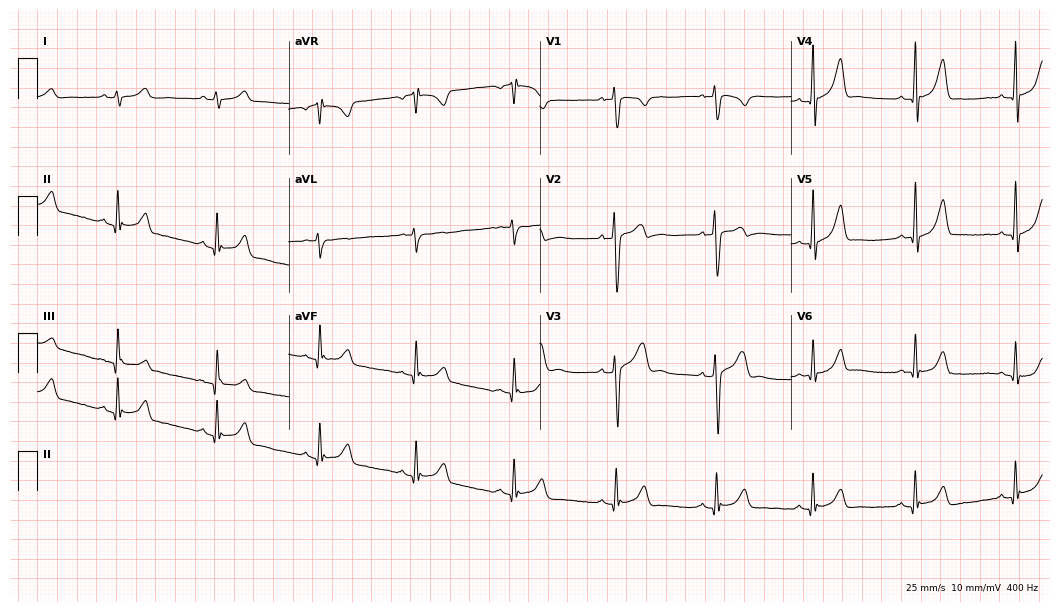
ECG (10.2-second recording at 400 Hz) — a male, 18 years old. Labelled as a normal ECG.